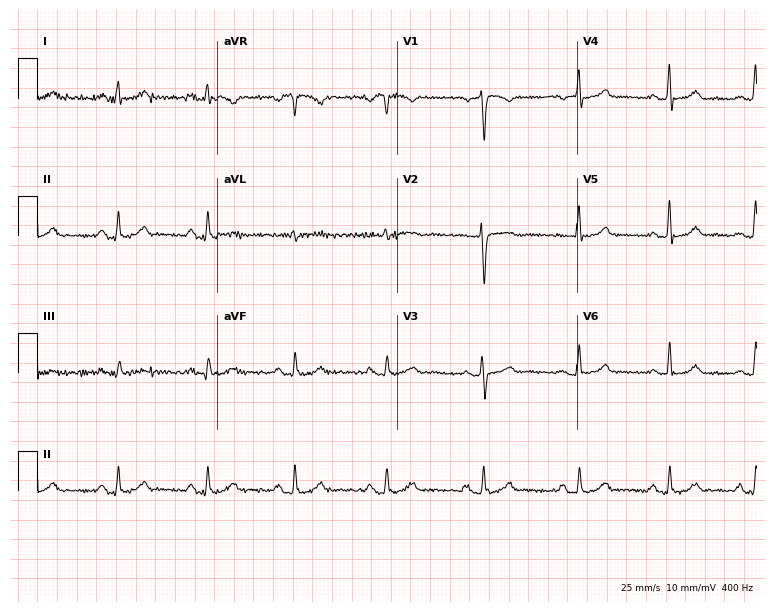
ECG (7.3-second recording at 400 Hz) — a female, 56 years old. Labelled as a normal ECG.